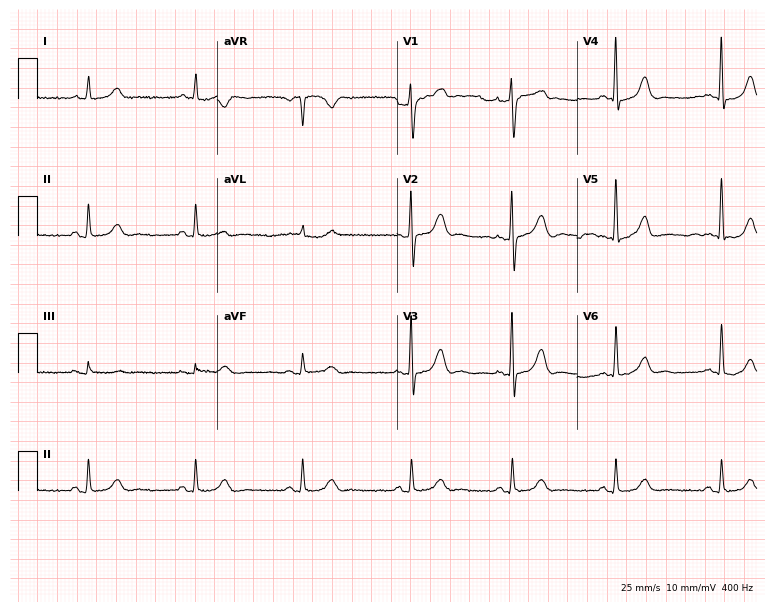
ECG — a 52-year-old woman. Screened for six findings — first-degree AV block, right bundle branch block, left bundle branch block, sinus bradycardia, atrial fibrillation, sinus tachycardia — none is recorded. Only these six findings were labelled.